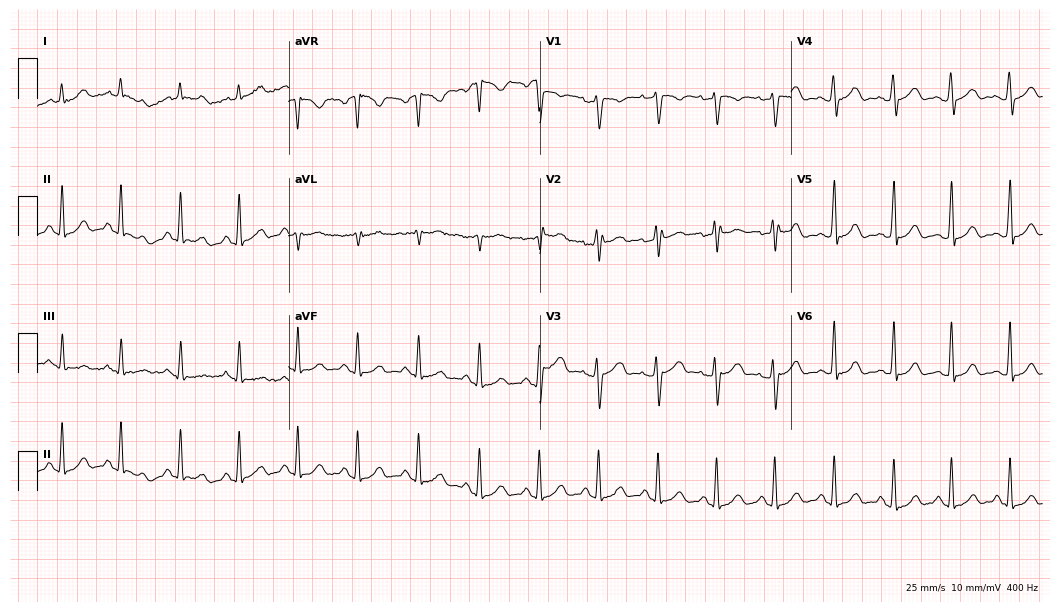
Resting 12-lead electrocardiogram. Patient: a 35-year-old woman. None of these six findings is recorded: first-degree AV block, right bundle branch block, left bundle branch block, sinus bradycardia, atrial fibrillation, sinus tachycardia. Findings outside these six are not listed.